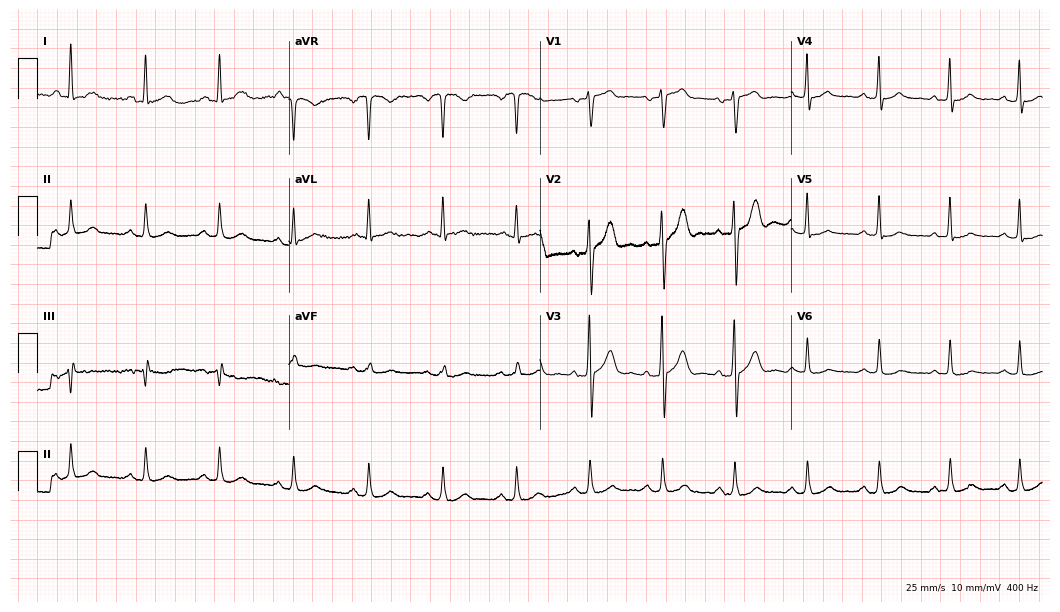
ECG (10.2-second recording at 400 Hz) — a 38-year-old male patient. Labelled as a normal ECG.